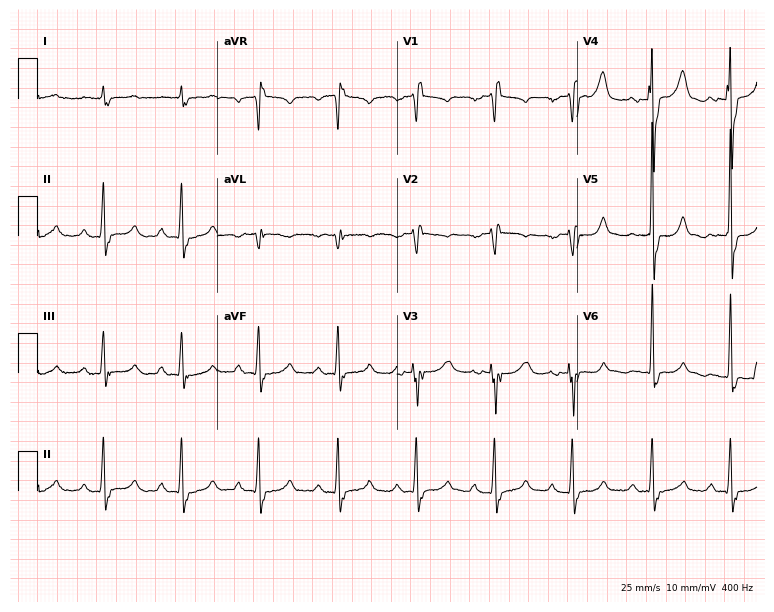
Standard 12-lead ECG recorded from an 81-year-old male patient (7.3-second recording at 400 Hz). None of these six findings is recorded: first-degree AV block, right bundle branch block (RBBB), left bundle branch block (LBBB), sinus bradycardia, atrial fibrillation (AF), sinus tachycardia. Only these six findings were labelled.